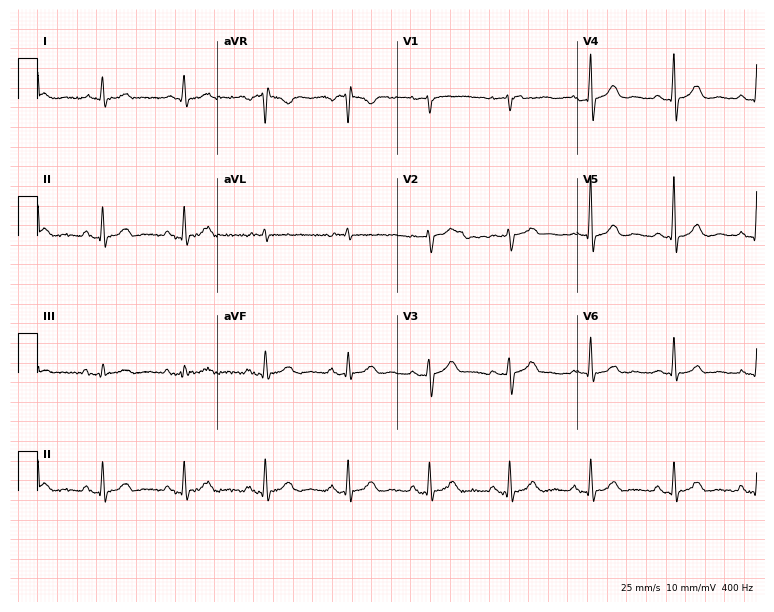
Electrocardiogram, a male patient, 81 years old. Overall reading on record: normal ECG.